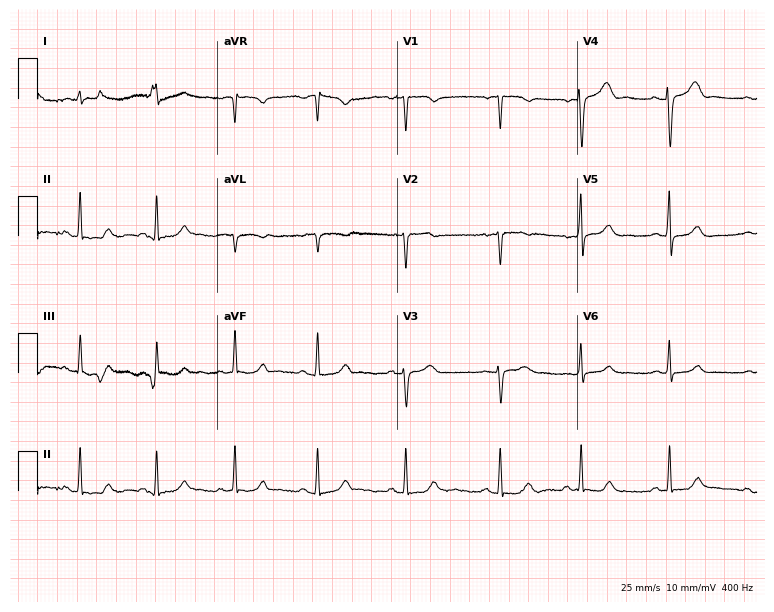
Standard 12-lead ECG recorded from a 36-year-old female patient (7.3-second recording at 400 Hz). None of these six findings is recorded: first-degree AV block, right bundle branch block, left bundle branch block, sinus bradycardia, atrial fibrillation, sinus tachycardia. Only these six findings were labelled.